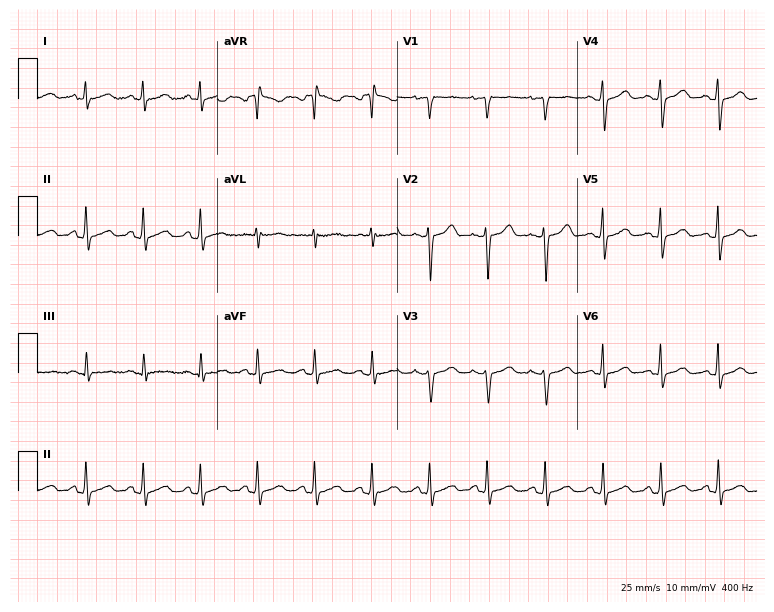
Electrocardiogram (7.3-second recording at 400 Hz), a woman, 60 years old. Interpretation includes sinus tachycardia (a sinus rate of 100 beats per minute or more).